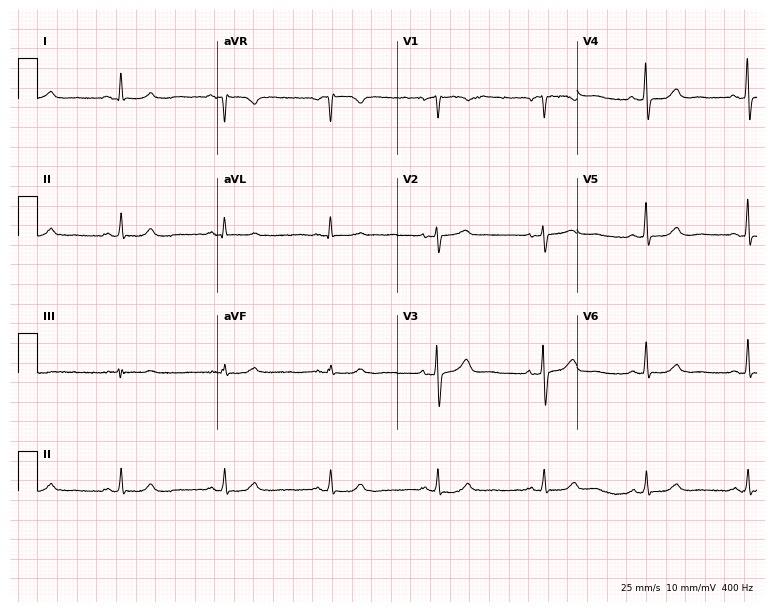
Standard 12-lead ECG recorded from a female, 56 years old. Read as a normal ECG.